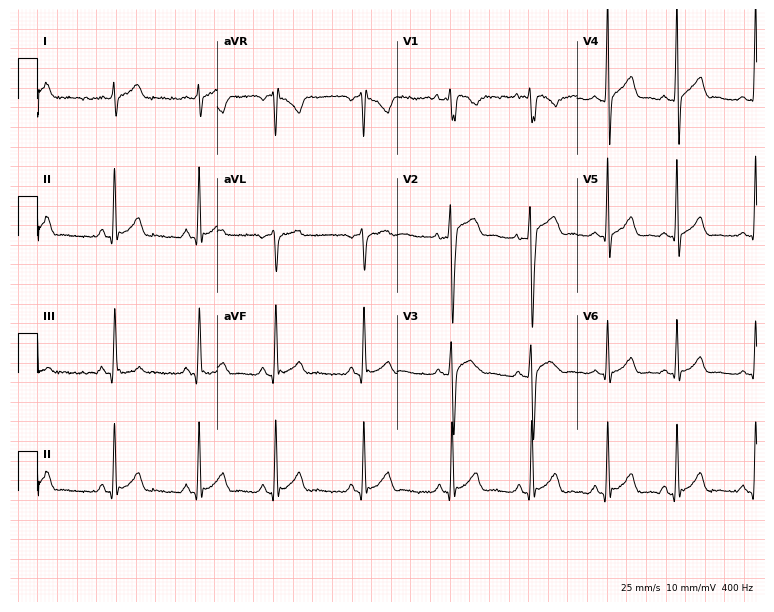
Resting 12-lead electrocardiogram (7.3-second recording at 400 Hz). Patient: a male, 17 years old. Read as a normal ECG.